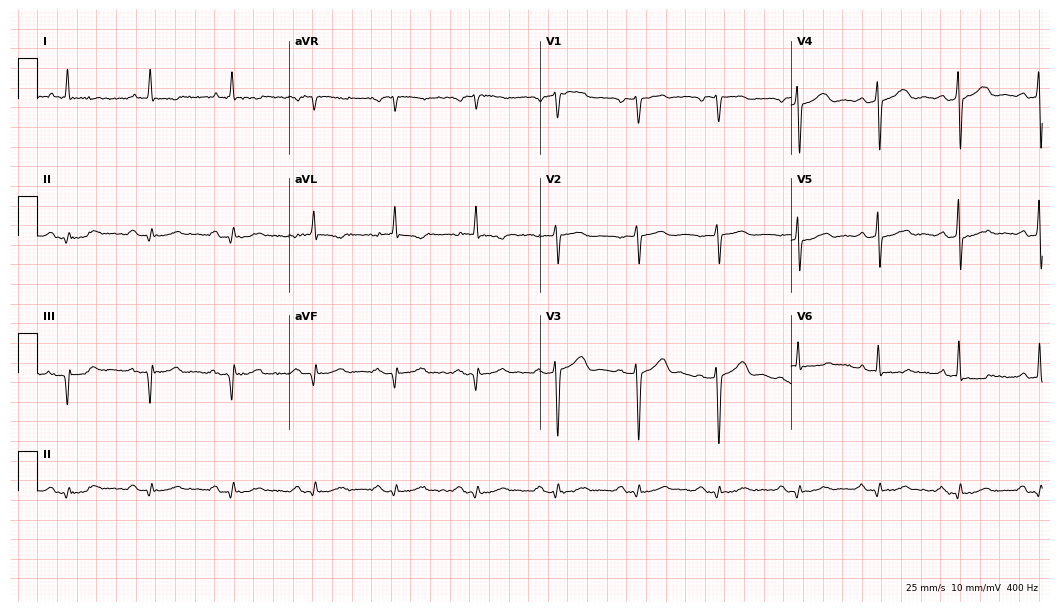
Resting 12-lead electrocardiogram. Patient: a man, 84 years old. None of these six findings is recorded: first-degree AV block, right bundle branch block (RBBB), left bundle branch block (LBBB), sinus bradycardia, atrial fibrillation (AF), sinus tachycardia.